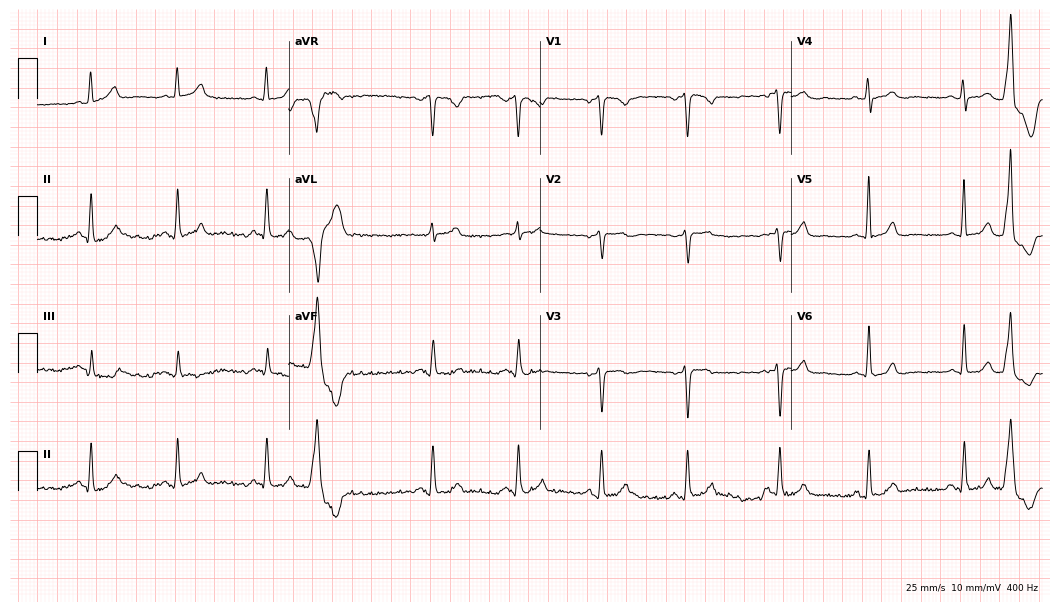
12-lead ECG from a 49-year-old female patient (10.2-second recording at 400 Hz). No first-degree AV block, right bundle branch block (RBBB), left bundle branch block (LBBB), sinus bradycardia, atrial fibrillation (AF) or sinus tachycardia recorded for this tracing. Only these six findings were labelled.